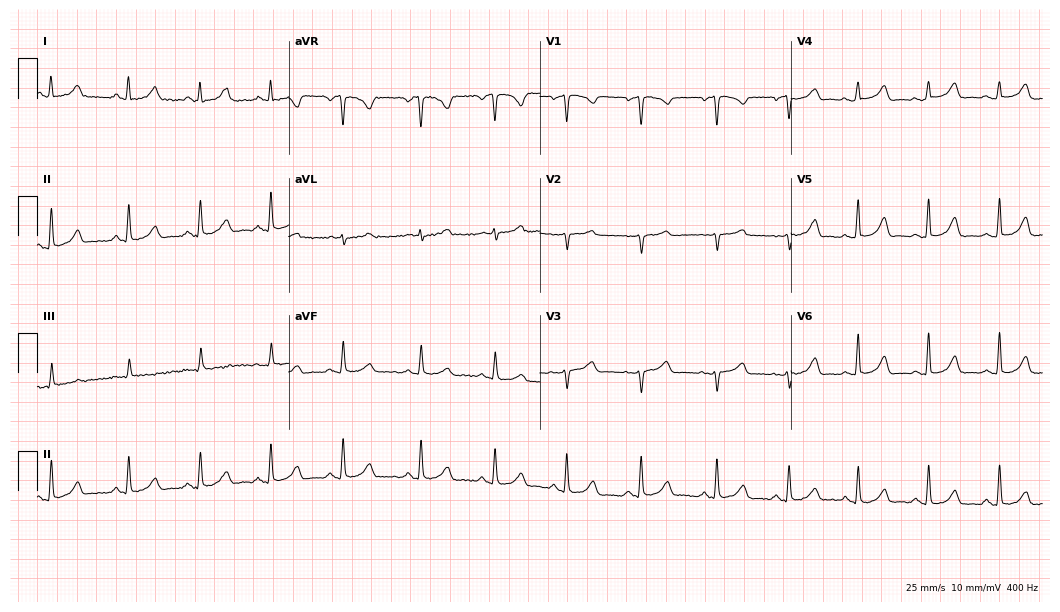
Electrocardiogram (10.2-second recording at 400 Hz), a female, 39 years old. Overall reading on record: normal ECG.